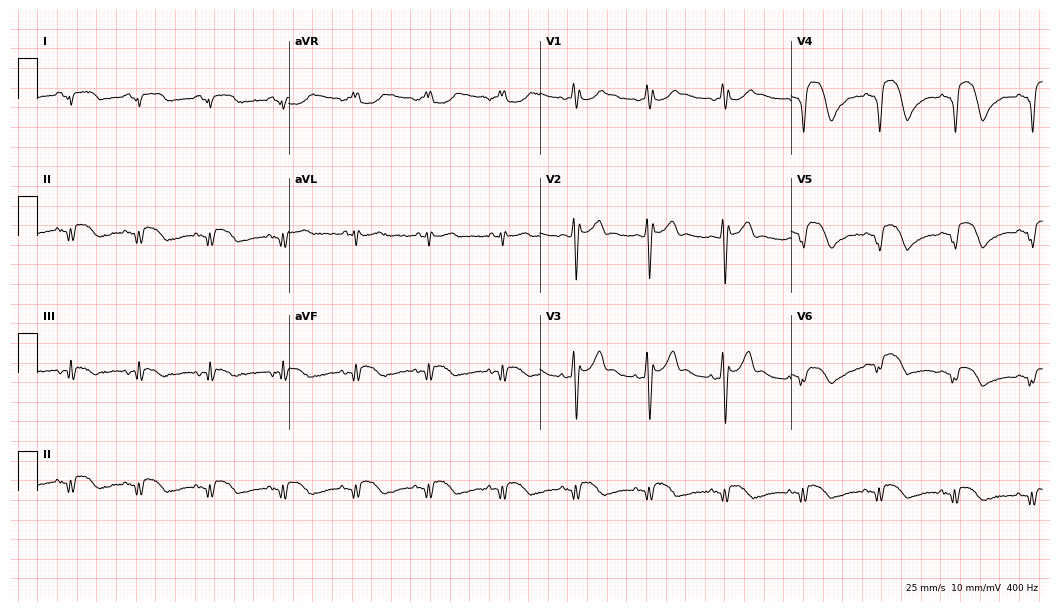
ECG (10.2-second recording at 400 Hz) — a man, 44 years old. Screened for six findings — first-degree AV block, right bundle branch block (RBBB), left bundle branch block (LBBB), sinus bradycardia, atrial fibrillation (AF), sinus tachycardia — none is recorded. Only these six findings were labelled.